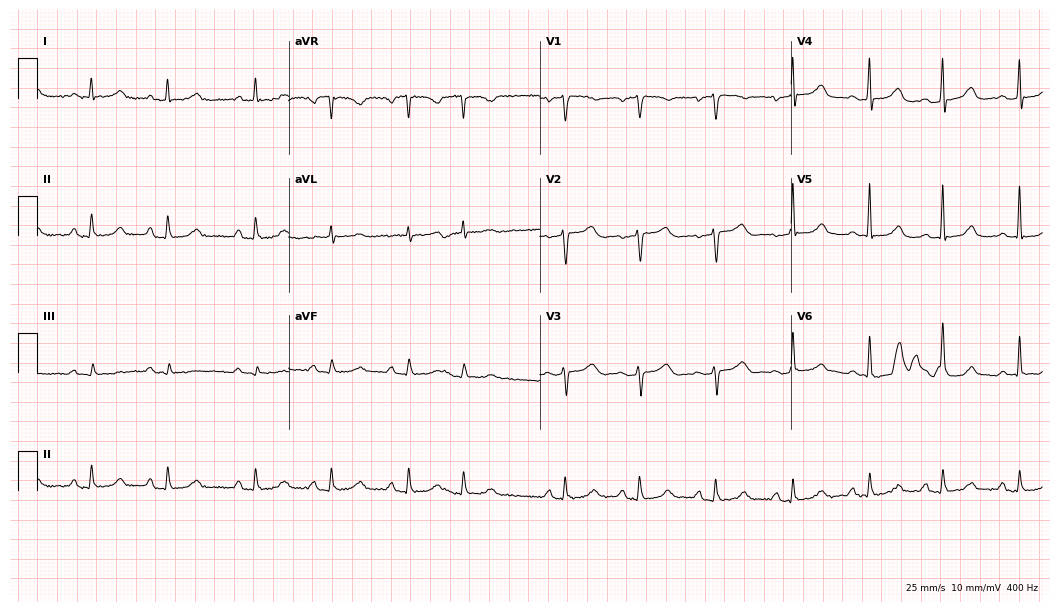
Resting 12-lead electrocardiogram. Patient: a female, 74 years old. None of these six findings is recorded: first-degree AV block, right bundle branch block, left bundle branch block, sinus bradycardia, atrial fibrillation, sinus tachycardia. Other findings, if any, are not listed.